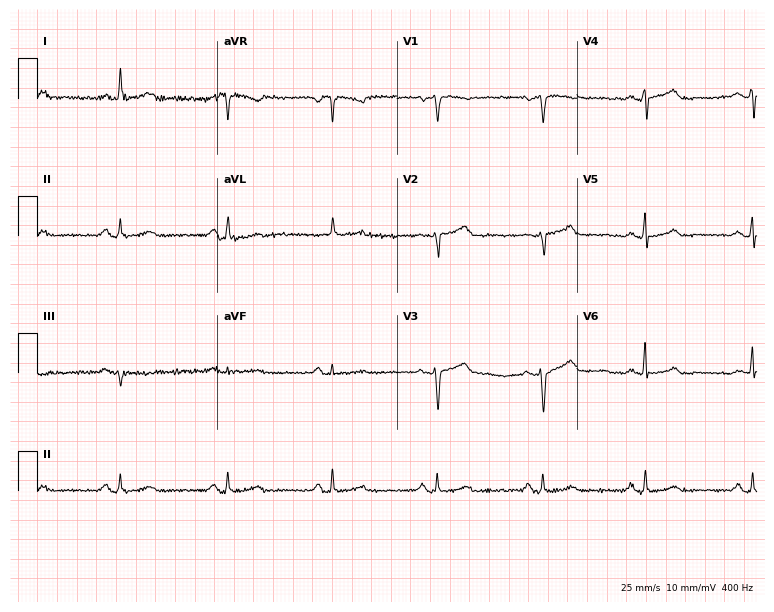
12-lead ECG from a 69-year-old woman (7.3-second recording at 400 Hz). Recorded interpretation: within normal limits.